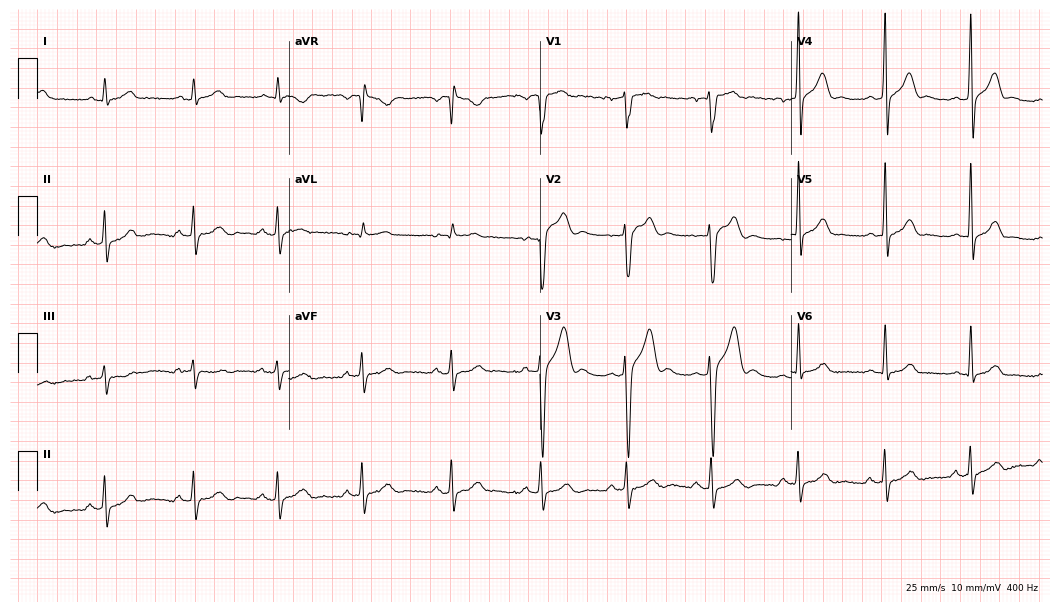
ECG — a male, 30 years old. Labelled as a normal ECG.